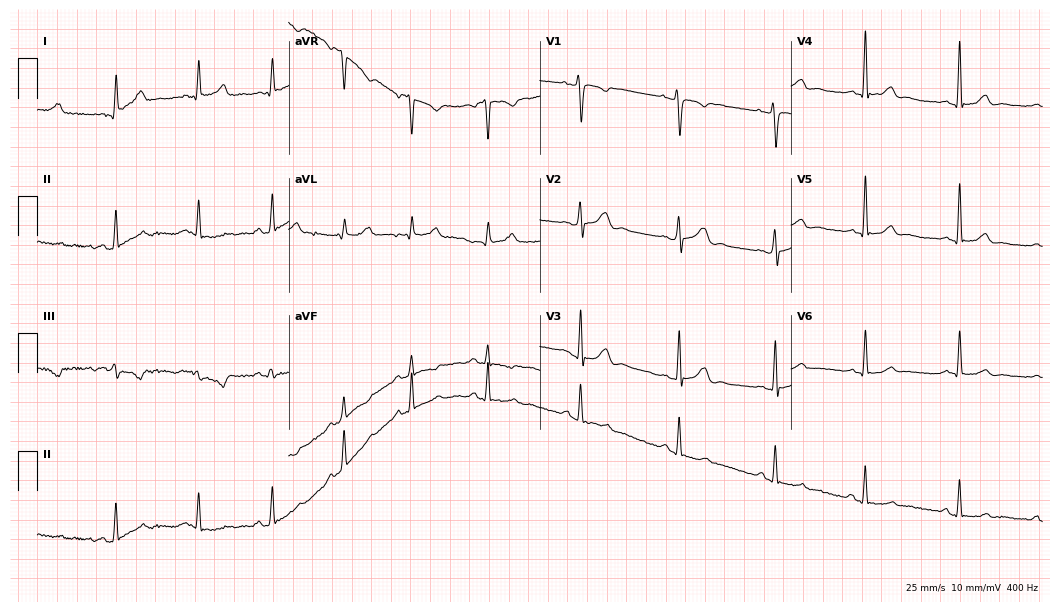
12-lead ECG from a 30-year-old woman (10.2-second recording at 400 Hz). Recorded interpretation: within normal limits.